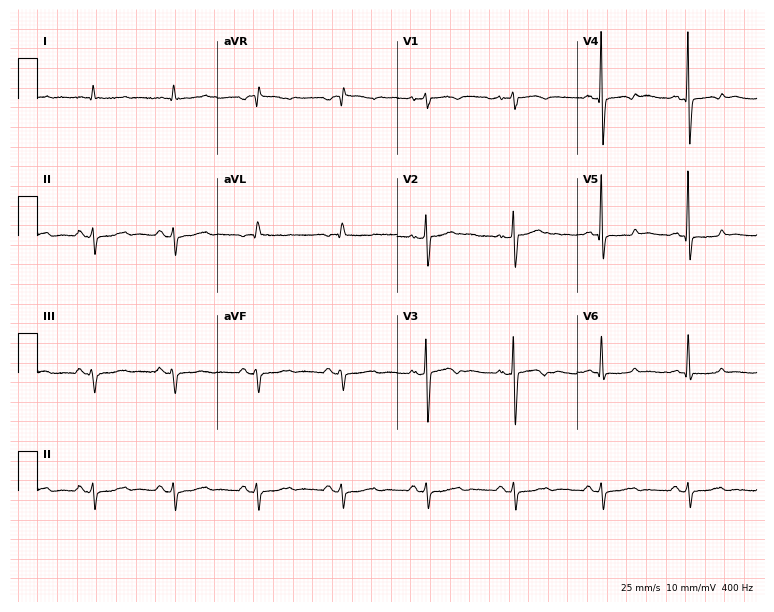
12-lead ECG (7.3-second recording at 400 Hz) from an 84-year-old woman. Screened for six findings — first-degree AV block, right bundle branch block, left bundle branch block, sinus bradycardia, atrial fibrillation, sinus tachycardia — none is recorded. Other findings, if any, are not listed.